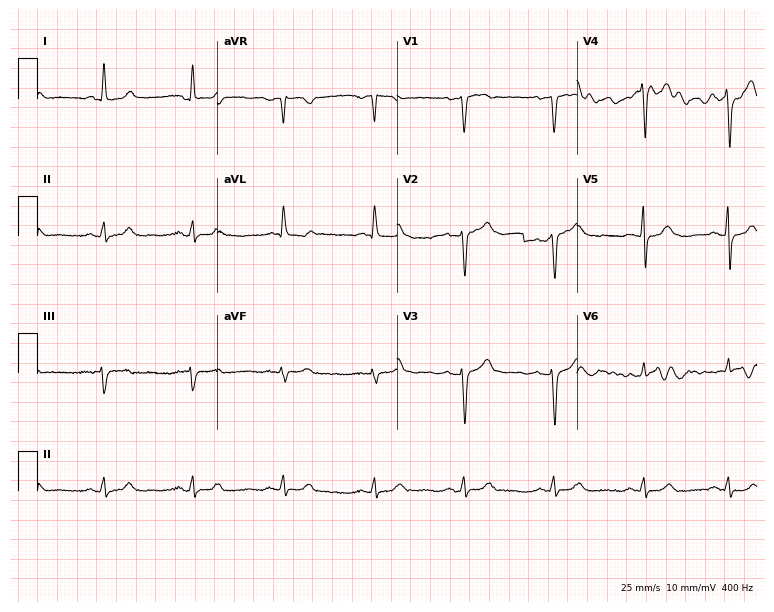
Electrocardiogram (7.3-second recording at 400 Hz), a 54-year-old female patient. Overall reading on record: normal ECG.